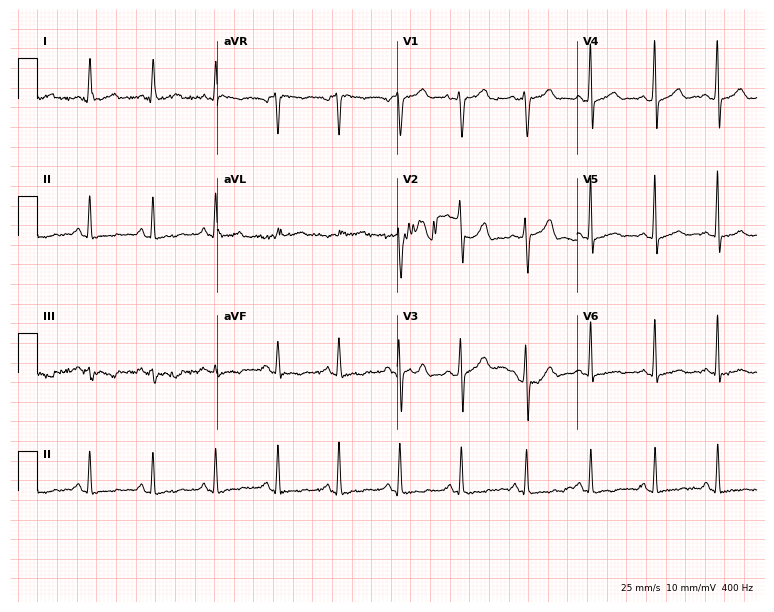
12-lead ECG from a woman, 42 years old. Recorded interpretation: within normal limits.